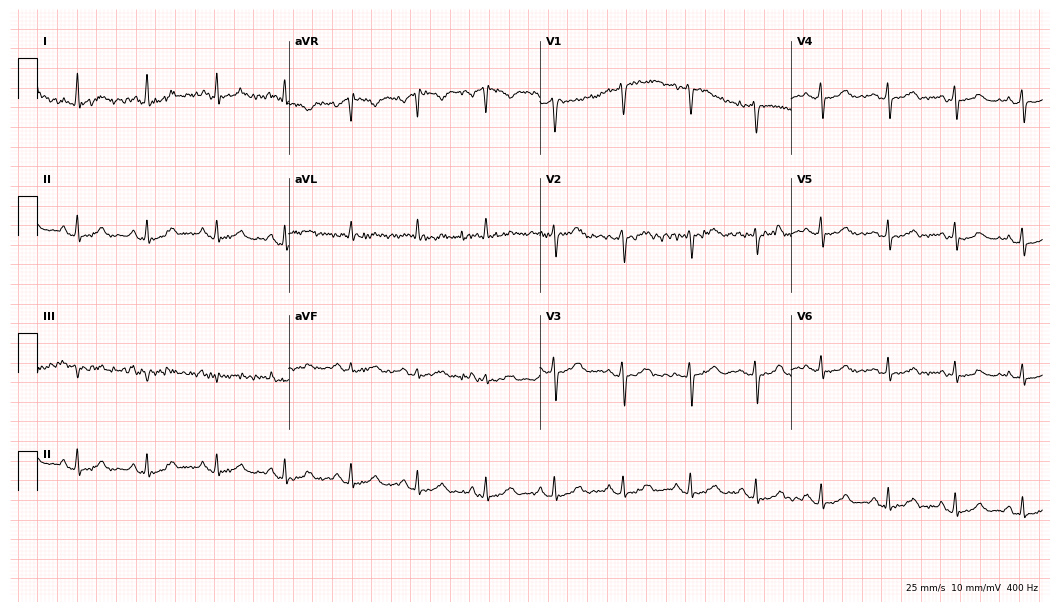
12-lead ECG (10.2-second recording at 400 Hz) from a female patient, 54 years old. Screened for six findings — first-degree AV block, right bundle branch block, left bundle branch block, sinus bradycardia, atrial fibrillation, sinus tachycardia — none is recorded. Findings outside these six are not listed.